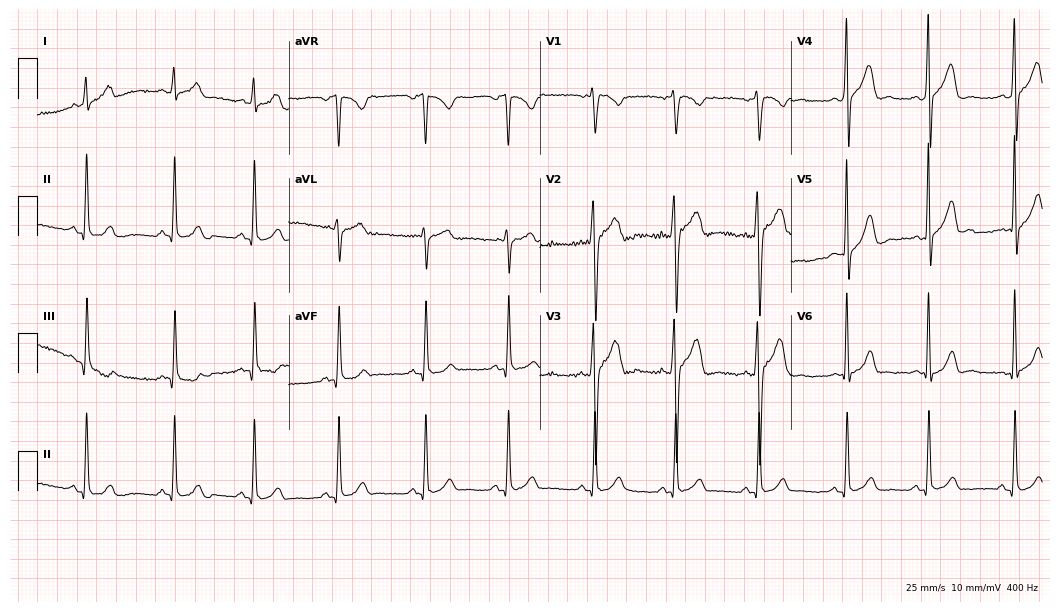
ECG (10.2-second recording at 400 Hz) — a male, 21 years old. Labelled as a normal ECG.